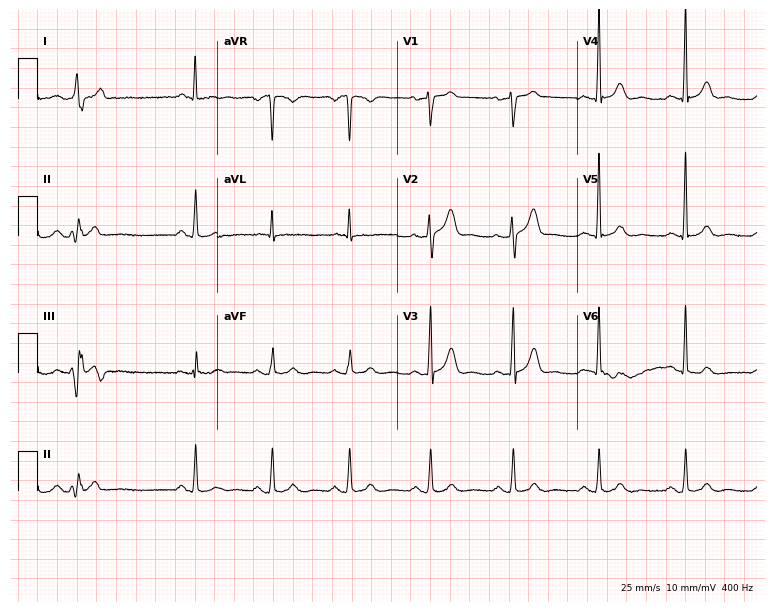
12-lead ECG from a male, 64 years old. Screened for six findings — first-degree AV block, right bundle branch block, left bundle branch block, sinus bradycardia, atrial fibrillation, sinus tachycardia — none is recorded.